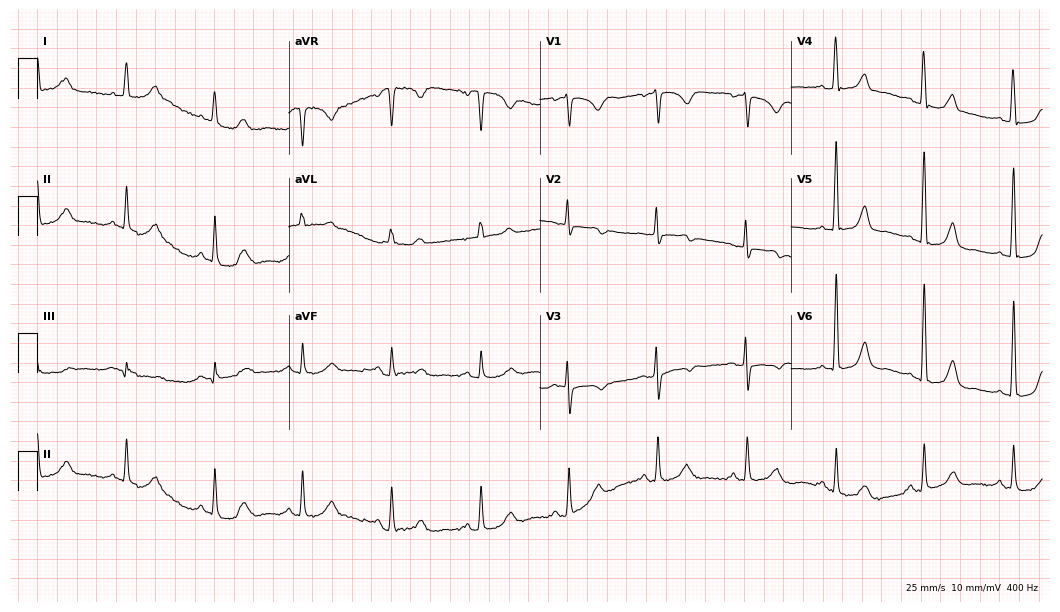
12-lead ECG from a 76-year-old woman (10.2-second recording at 400 Hz). Recorded interpretation: within normal limits.